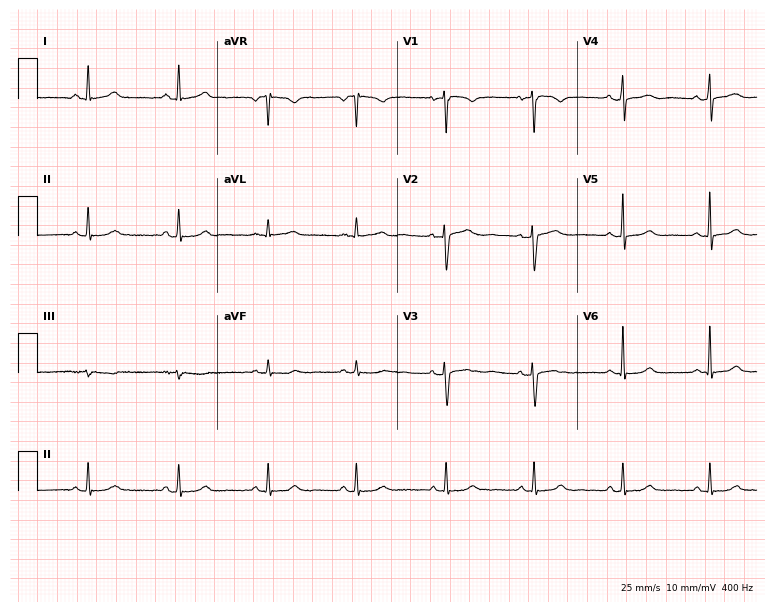
Electrocardiogram (7.3-second recording at 400 Hz), a woman, 34 years old. Of the six screened findings (first-degree AV block, right bundle branch block (RBBB), left bundle branch block (LBBB), sinus bradycardia, atrial fibrillation (AF), sinus tachycardia), none is recorded.